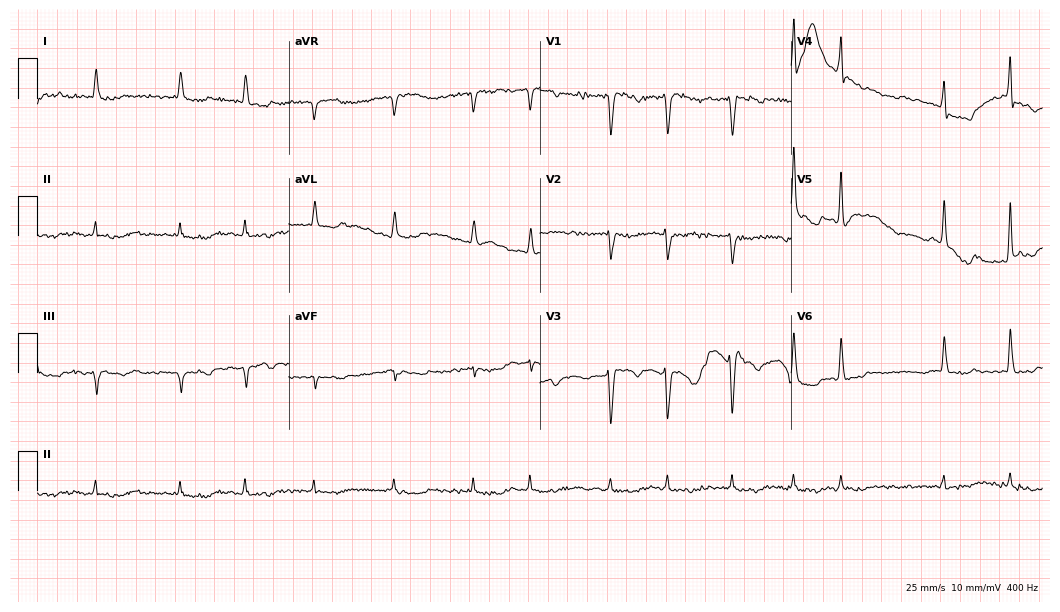
Resting 12-lead electrocardiogram (10.2-second recording at 400 Hz). Patient: a 71-year-old man. None of these six findings is recorded: first-degree AV block, right bundle branch block, left bundle branch block, sinus bradycardia, atrial fibrillation, sinus tachycardia.